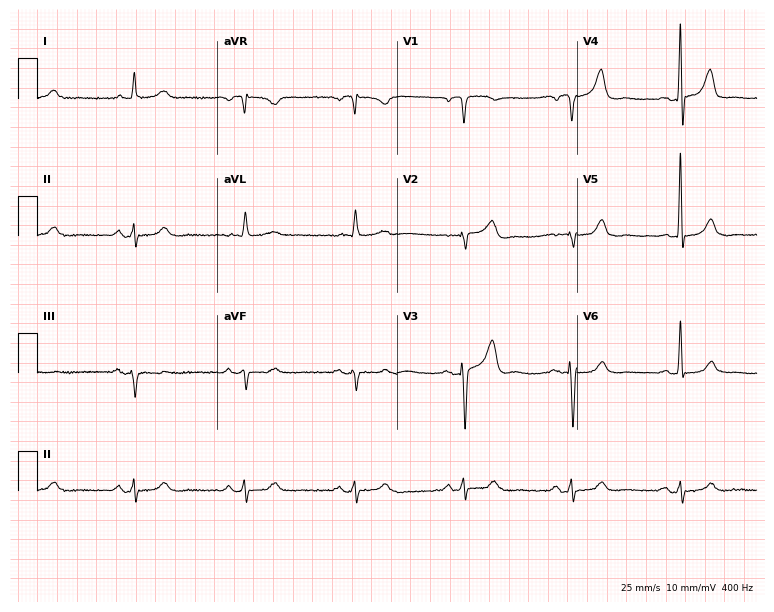
12-lead ECG from an 82-year-old male patient (7.3-second recording at 400 Hz). No first-degree AV block, right bundle branch block, left bundle branch block, sinus bradycardia, atrial fibrillation or sinus tachycardia recorded for this tracing. Only these six findings were labelled.